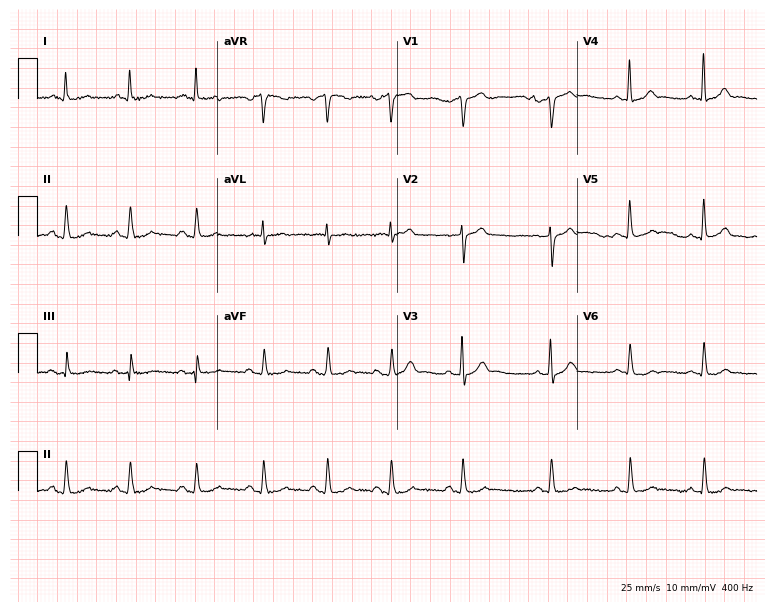
Resting 12-lead electrocardiogram. Patient: a man, 45 years old. Read as a normal ECG.